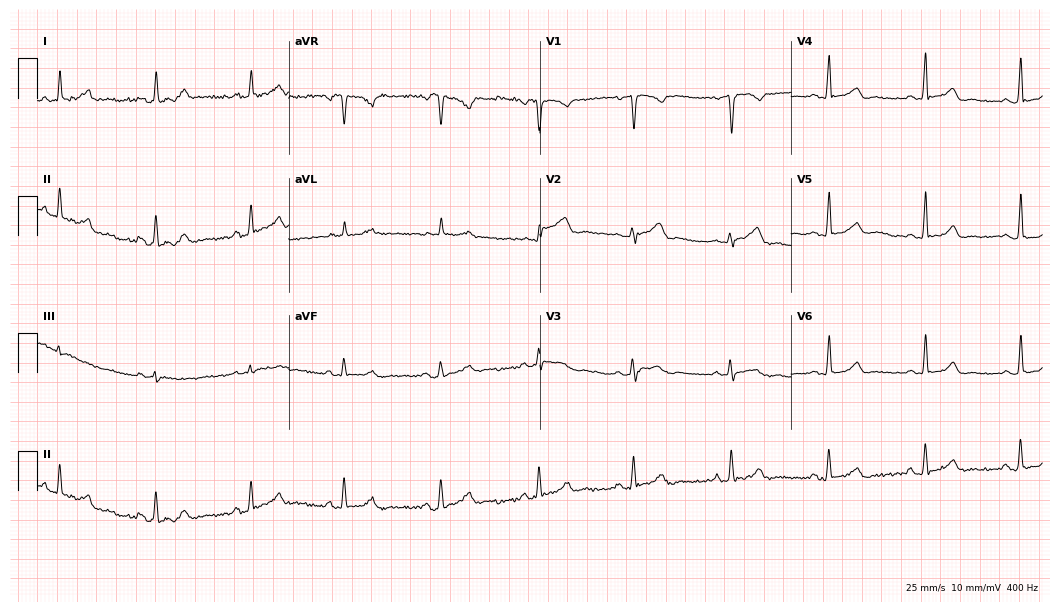
Electrocardiogram, a female patient, 45 years old. Of the six screened findings (first-degree AV block, right bundle branch block (RBBB), left bundle branch block (LBBB), sinus bradycardia, atrial fibrillation (AF), sinus tachycardia), none is recorded. Findings outside these six are not listed.